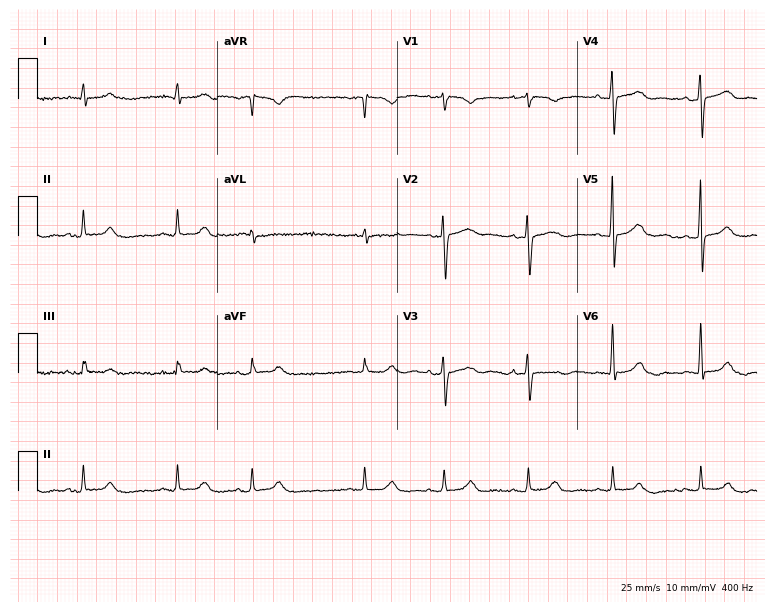
ECG — a 79-year-old male. Labelled as a normal ECG.